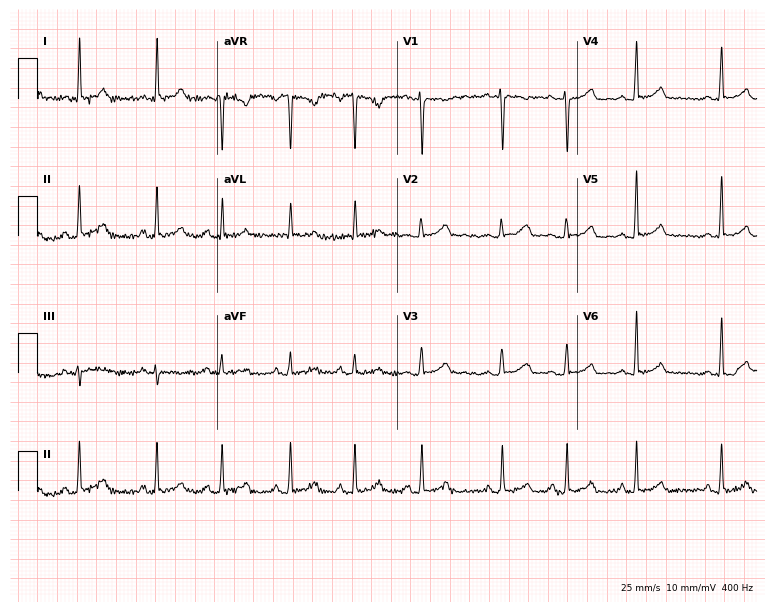
Resting 12-lead electrocardiogram (7.3-second recording at 400 Hz). Patient: a 36-year-old woman. None of these six findings is recorded: first-degree AV block, right bundle branch block, left bundle branch block, sinus bradycardia, atrial fibrillation, sinus tachycardia.